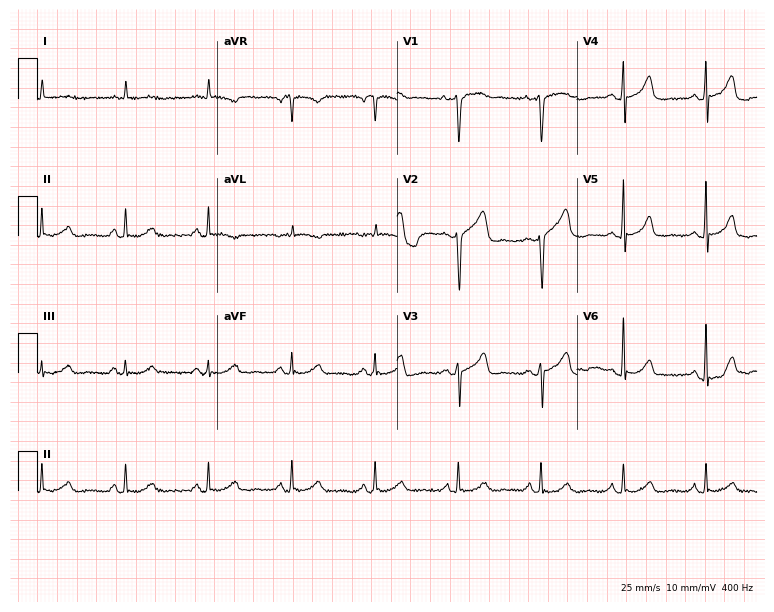
12-lead ECG from a male, 47 years old (7.3-second recording at 400 Hz). No first-degree AV block, right bundle branch block (RBBB), left bundle branch block (LBBB), sinus bradycardia, atrial fibrillation (AF) or sinus tachycardia recorded for this tracing. Findings outside these six are not listed.